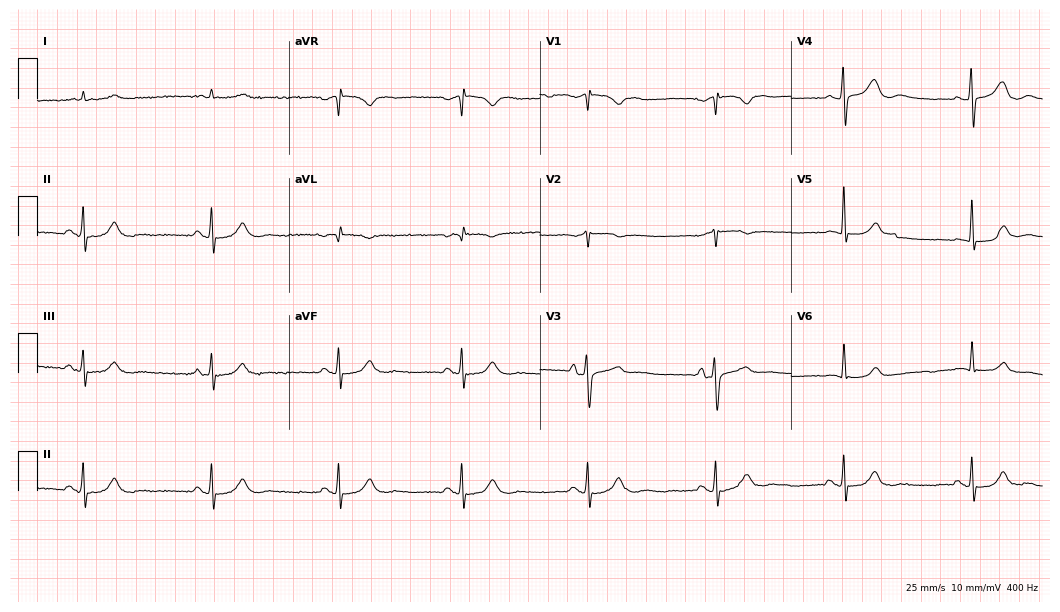
12-lead ECG from a 78-year-old man. Findings include sinus bradycardia (a sinus rate of 50 beats per minute or less).